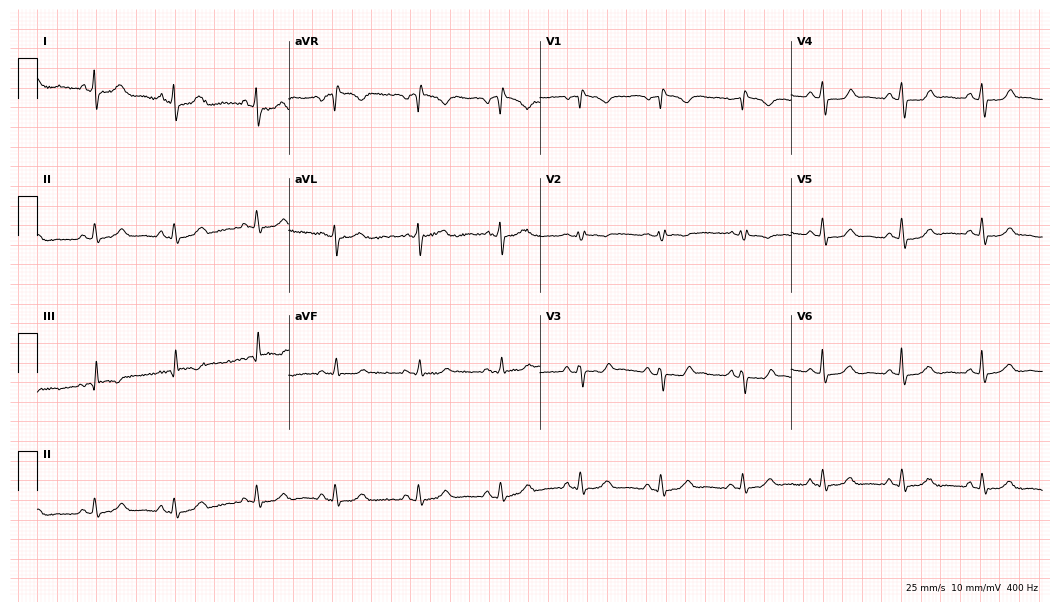
ECG — a 56-year-old female patient. Screened for six findings — first-degree AV block, right bundle branch block, left bundle branch block, sinus bradycardia, atrial fibrillation, sinus tachycardia — none is recorded.